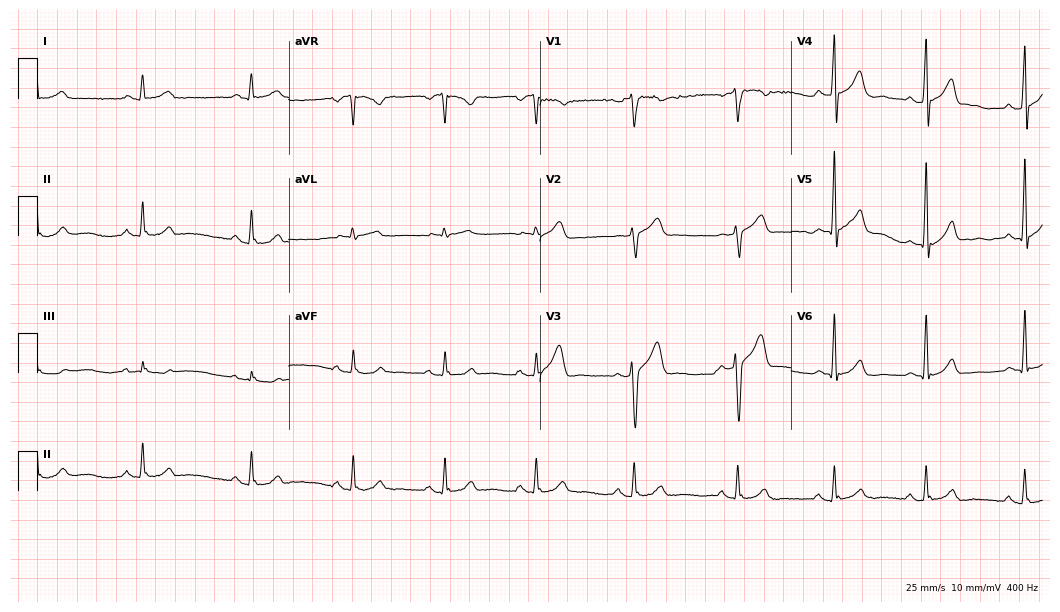
12-lead ECG from a 53-year-old male (10.2-second recording at 400 Hz). Recorded interpretation: within normal limits.